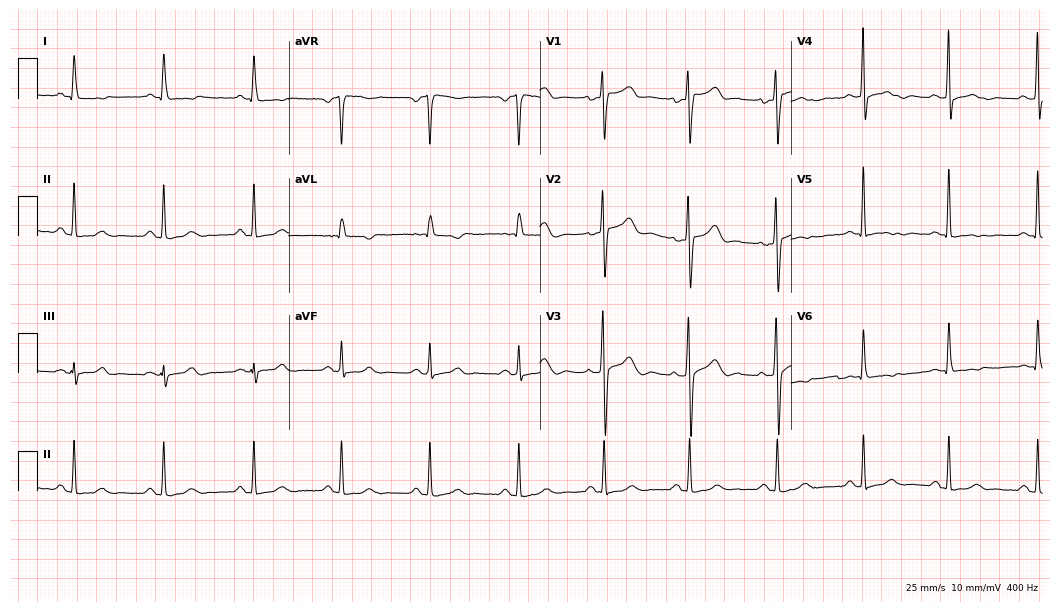
Resting 12-lead electrocardiogram. Patient: a 52-year-old female. None of these six findings is recorded: first-degree AV block, right bundle branch block, left bundle branch block, sinus bradycardia, atrial fibrillation, sinus tachycardia. Findings outside these six are not listed.